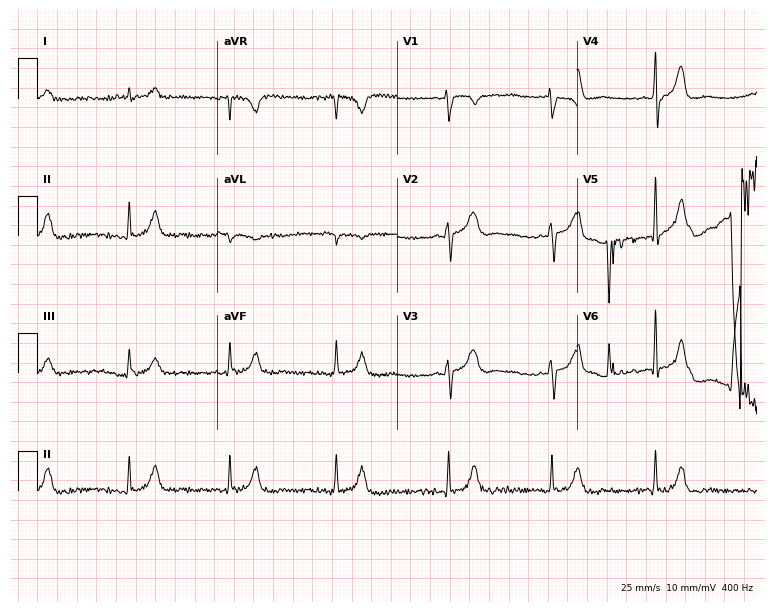
Resting 12-lead electrocardiogram (7.3-second recording at 400 Hz). Patient: a 50-year-old male. None of these six findings is recorded: first-degree AV block, right bundle branch block, left bundle branch block, sinus bradycardia, atrial fibrillation, sinus tachycardia. Other findings, if any, are not listed.